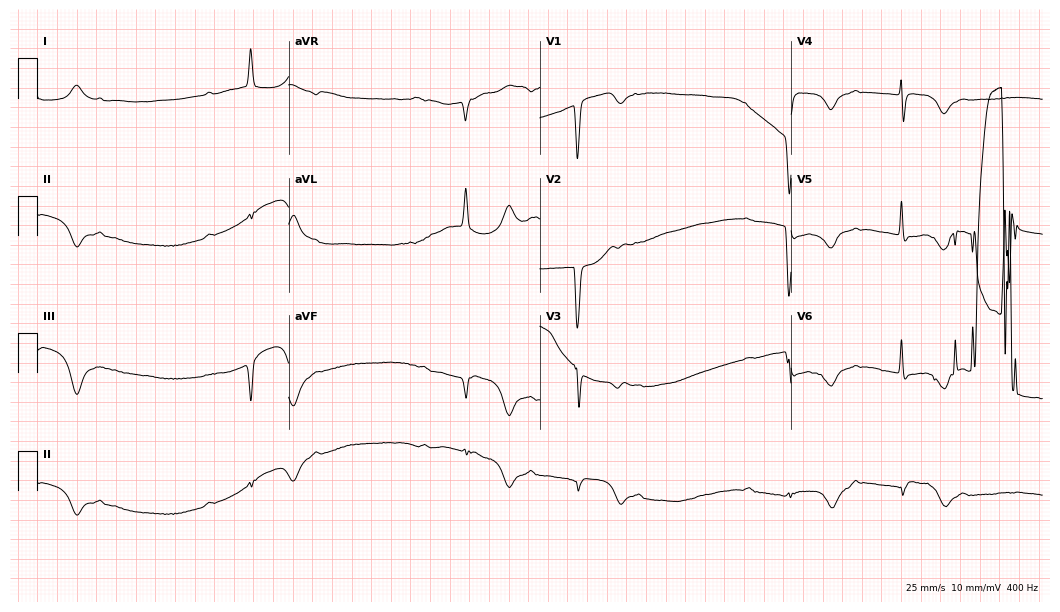
Electrocardiogram (10.2-second recording at 400 Hz), a female patient, 79 years old. Of the six screened findings (first-degree AV block, right bundle branch block (RBBB), left bundle branch block (LBBB), sinus bradycardia, atrial fibrillation (AF), sinus tachycardia), none is recorded. Only these six findings were labelled.